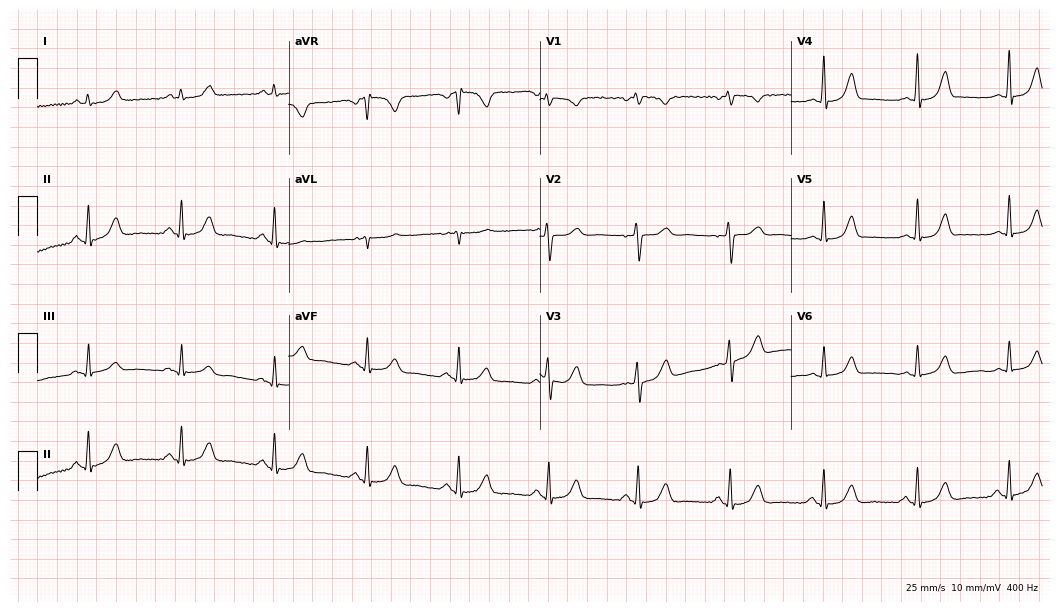
Standard 12-lead ECG recorded from a 46-year-old female patient. None of these six findings is recorded: first-degree AV block, right bundle branch block (RBBB), left bundle branch block (LBBB), sinus bradycardia, atrial fibrillation (AF), sinus tachycardia. Only these six findings were labelled.